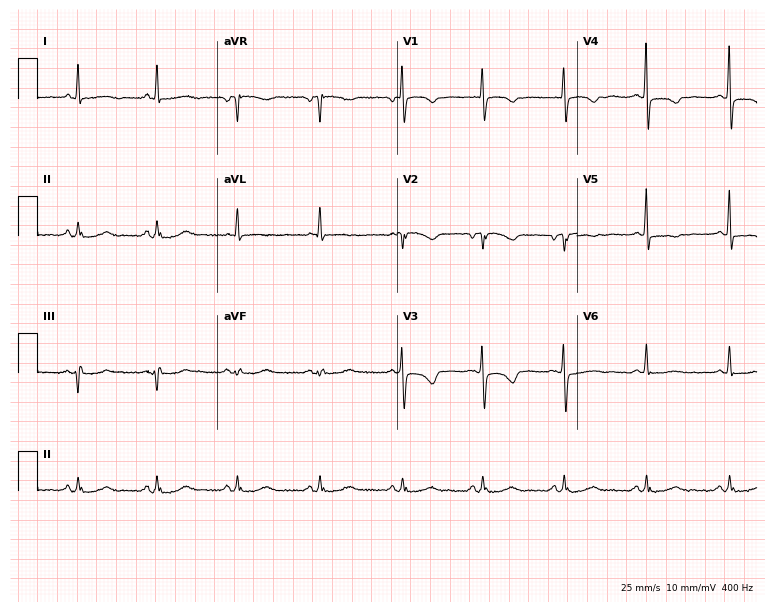
Standard 12-lead ECG recorded from a 64-year-old woman (7.3-second recording at 400 Hz). None of these six findings is recorded: first-degree AV block, right bundle branch block (RBBB), left bundle branch block (LBBB), sinus bradycardia, atrial fibrillation (AF), sinus tachycardia. Findings outside these six are not listed.